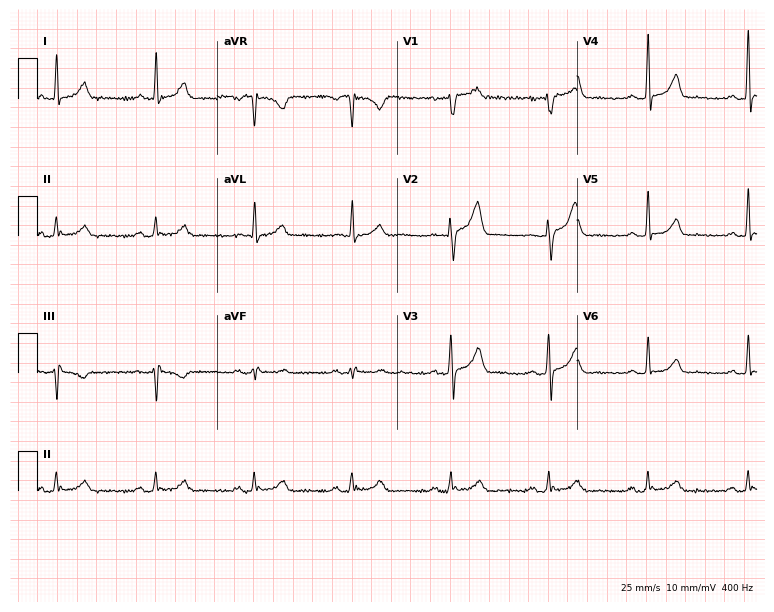
ECG (7.3-second recording at 400 Hz) — a male, 59 years old. Labelled as a normal ECG.